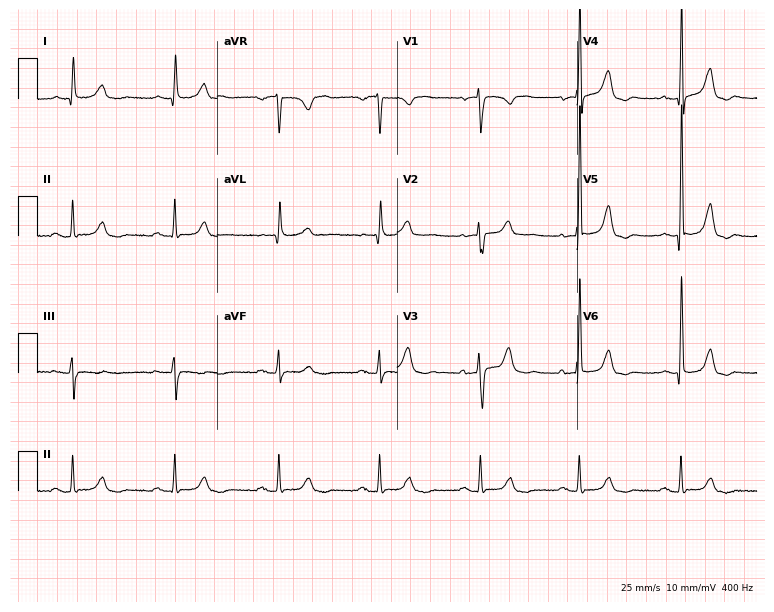
ECG — a woman, 74 years old. Screened for six findings — first-degree AV block, right bundle branch block, left bundle branch block, sinus bradycardia, atrial fibrillation, sinus tachycardia — none is recorded.